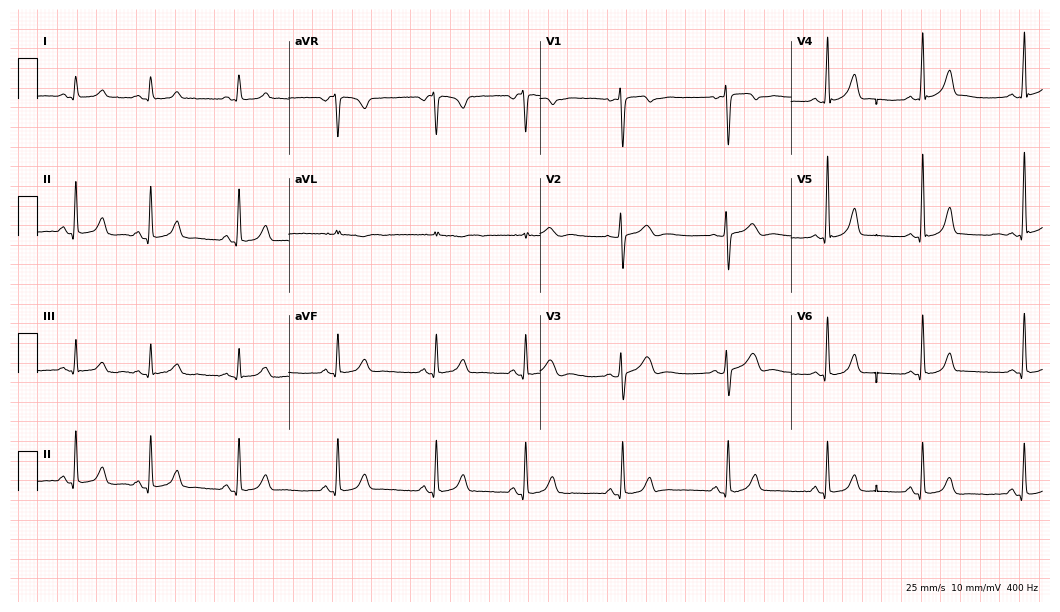
Electrocardiogram, a 30-year-old female patient. Overall reading on record: normal ECG.